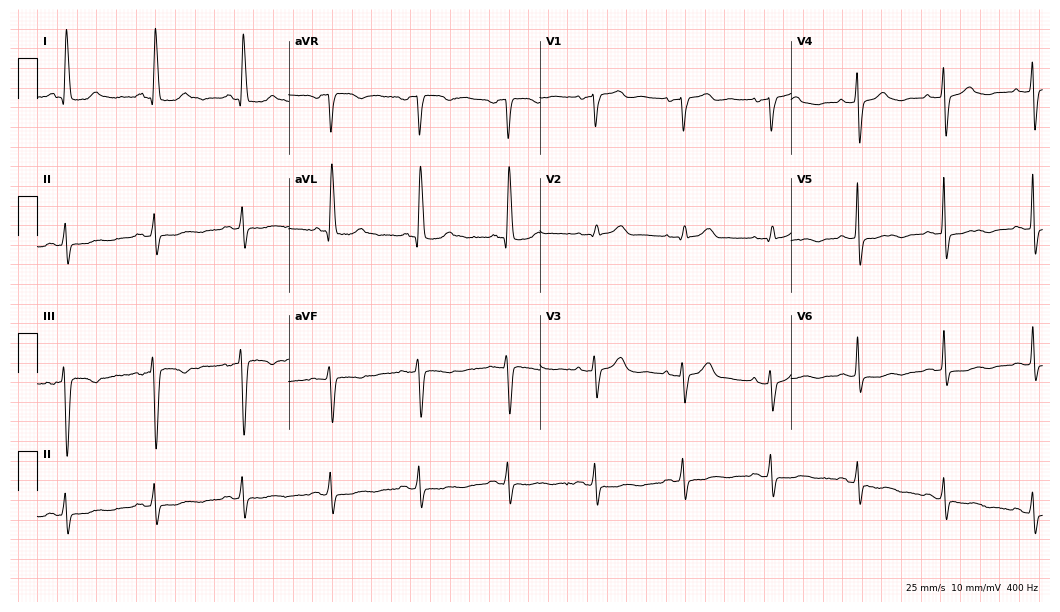
12-lead ECG from a 64-year-old woman. Screened for six findings — first-degree AV block, right bundle branch block, left bundle branch block, sinus bradycardia, atrial fibrillation, sinus tachycardia — none is recorded. Other findings, if any, are not listed.